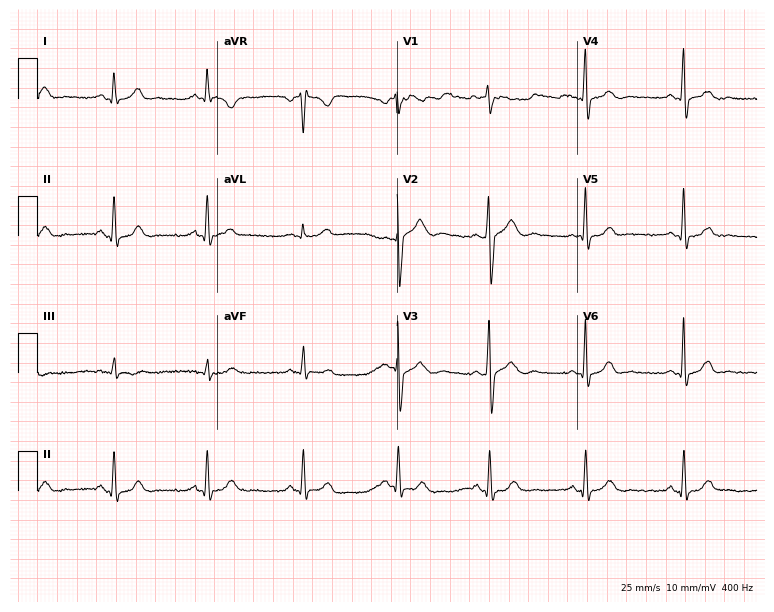
12-lead ECG (7.3-second recording at 400 Hz) from a 35-year-old male patient. Labelled as a normal ECG.